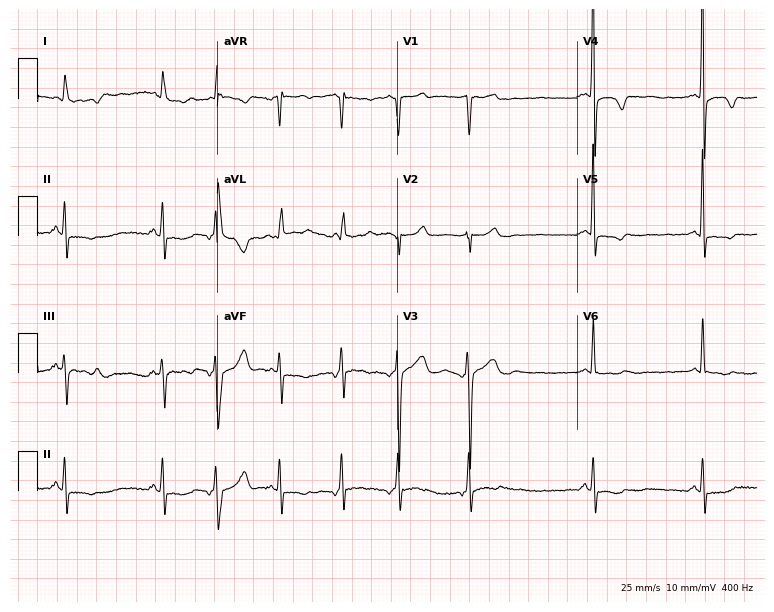
12-lead ECG from an 81-year-old man. No first-degree AV block, right bundle branch block, left bundle branch block, sinus bradycardia, atrial fibrillation or sinus tachycardia recorded for this tracing. Other findings, if any, are not listed.